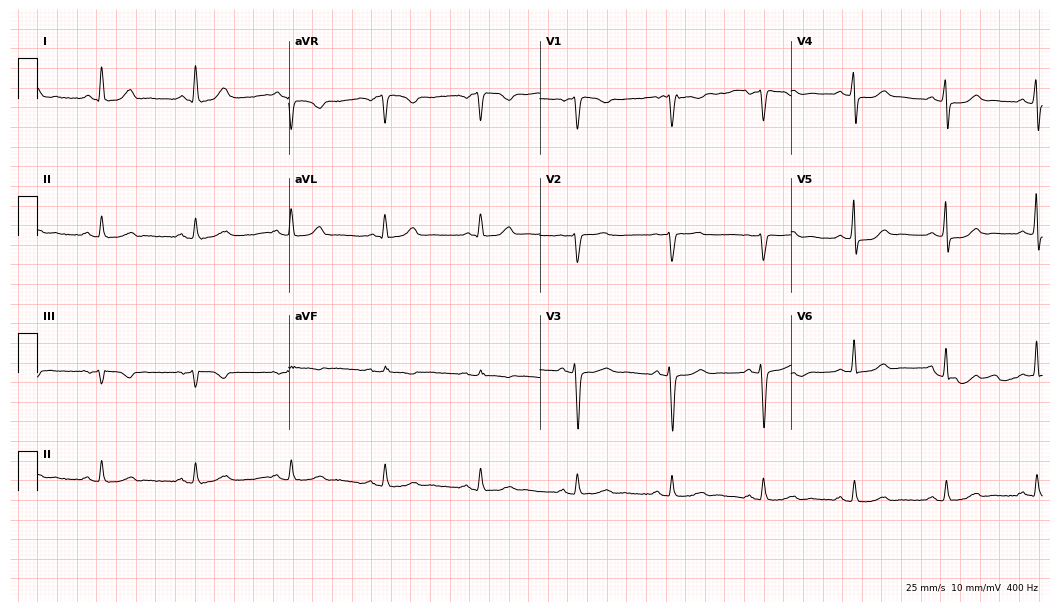
12-lead ECG (10.2-second recording at 400 Hz) from a 36-year-old woman. Screened for six findings — first-degree AV block, right bundle branch block, left bundle branch block, sinus bradycardia, atrial fibrillation, sinus tachycardia — none is recorded. Other findings, if any, are not listed.